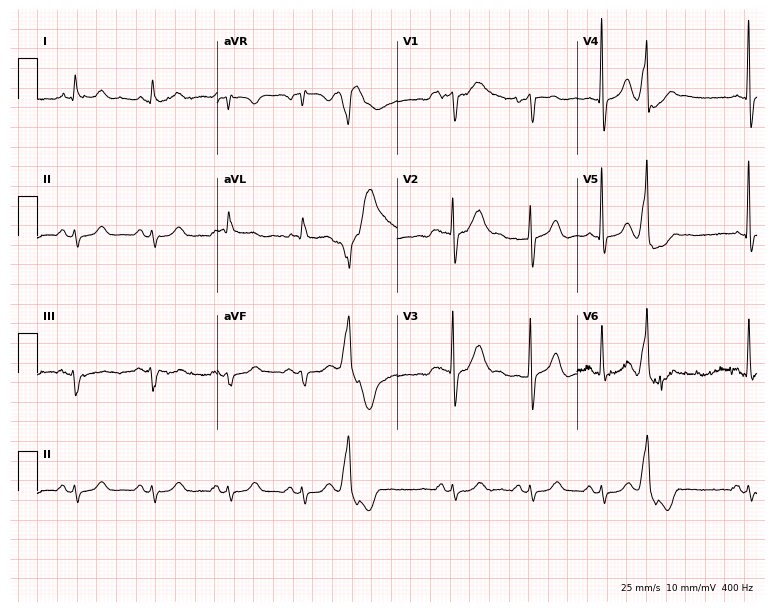
Resting 12-lead electrocardiogram. Patient: an 83-year-old male. None of these six findings is recorded: first-degree AV block, right bundle branch block (RBBB), left bundle branch block (LBBB), sinus bradycardia, atrial fibrillation (AF), sinus tachycardia. Findings outside these six are not listed.